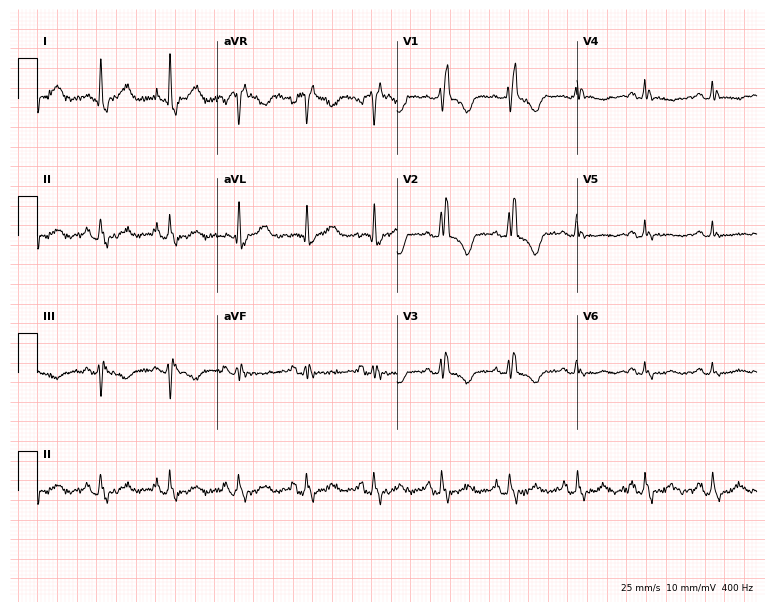
12-lead ECG (7.3-second recording at 400 Hz) from a female, 48 years old. Screened for six findings — first-degree AV block, right bundle branch block, left bundle branch block, sinus bradycardia, atrial fibrillation, sinus tachycardia — none is recorded. Findings outside these six are not listed.